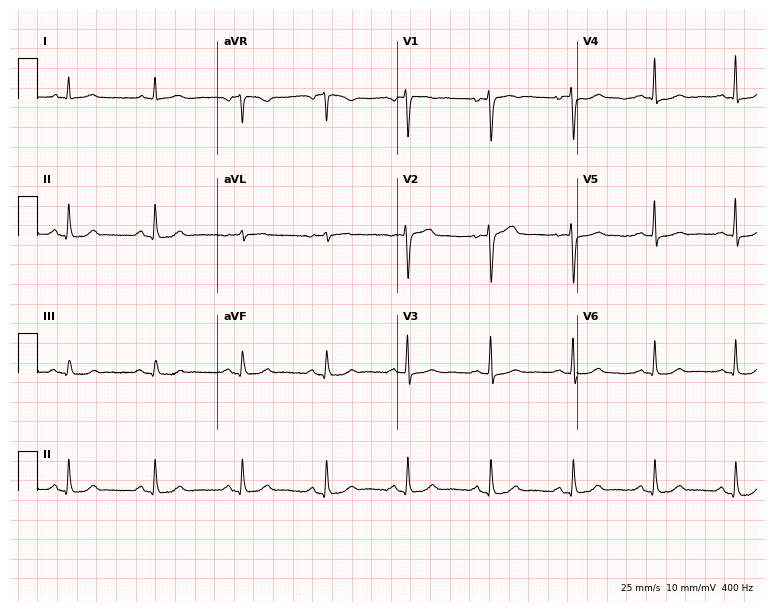
Standard 12-lead ECG recorded from a 45-year-old woman (7.3-second recording at 400 Hz). None of these six findings is recorded: first-degree AV block, right bundle branch block, left bundle branch block, sinus bradycardia, atrial fibrillation, sinus tachycardia. Only these six findings were labelled.